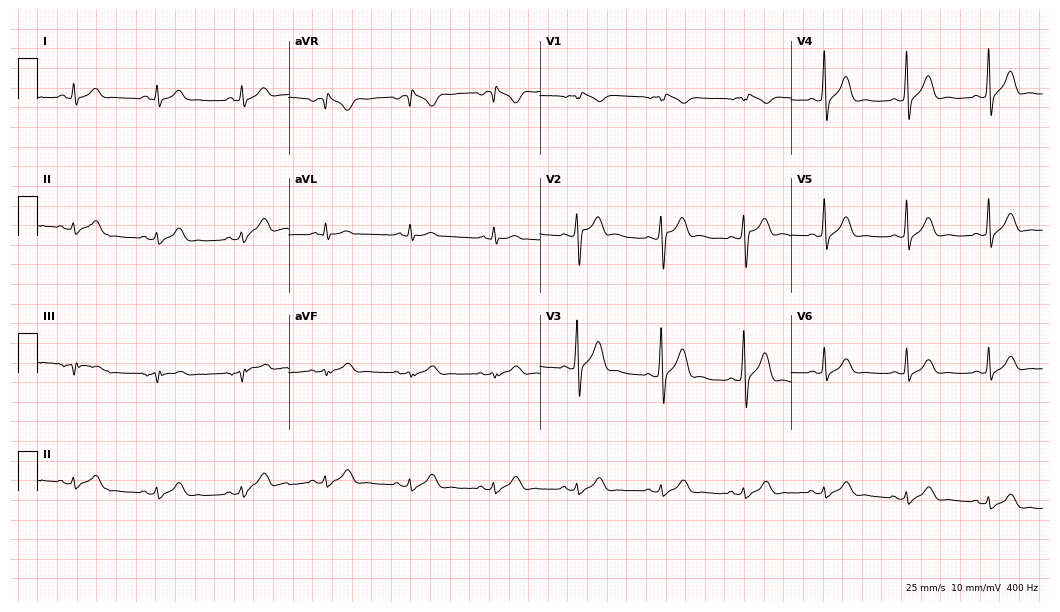
Resting 12-lead electrocardiogram. Patient: a 34-year-old male. None of these six findings is recorded: first-degree AV block, right bundle branch block, left bundle branch block, sinus bradycardia, atrial fibrillation, sinus tachycardia. Findings outside these six are not listed.